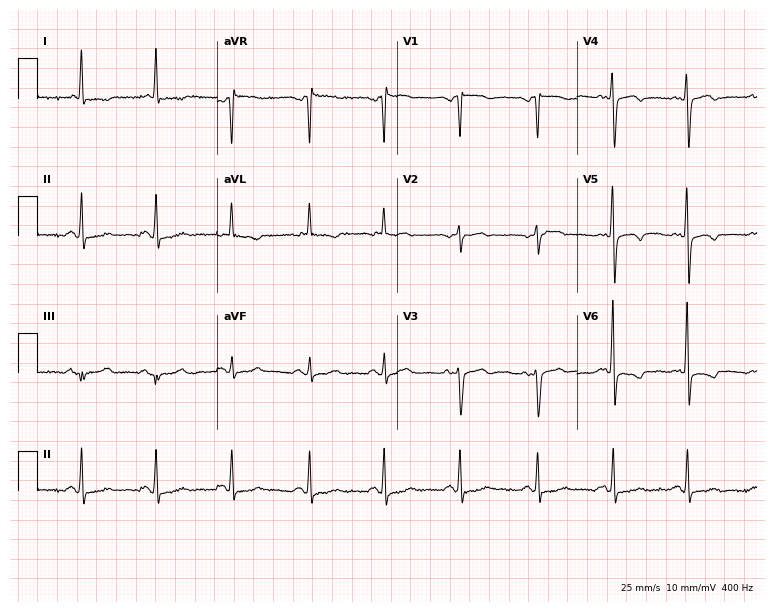
ECG (7.3-second recording at 400 Hz) — a 63-year-old woman. Screened for six findings — first-degree AV block, right bundle branch block, left bundle branch block, sinus bradycardia, atrial fibrillation, sinus tachycardia — none is recorded. Other findings, if any, are not listed.